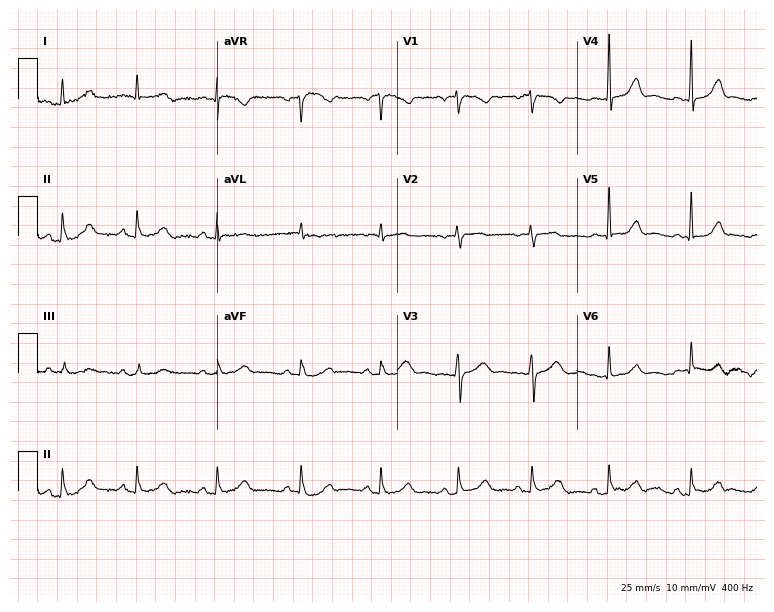
12-lead ECG from a 35-year-old female (7.3-second recording at 400 Hz). Recorded interpretation: within normal limits.